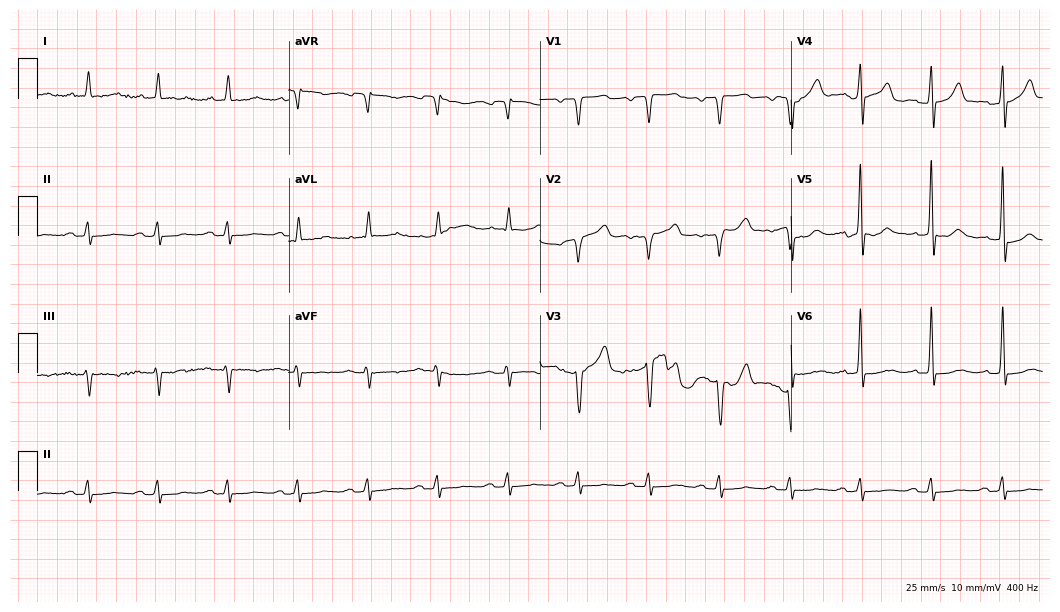
12-lead ECG from a man, 81 years old. Screened for six findings — first-degree AV block, right bundle branch block, left bundle branch block, sinus bradycardia, atrial fibrillation, sinus tachycardia — none is recorded. Only these six findings were labelled.